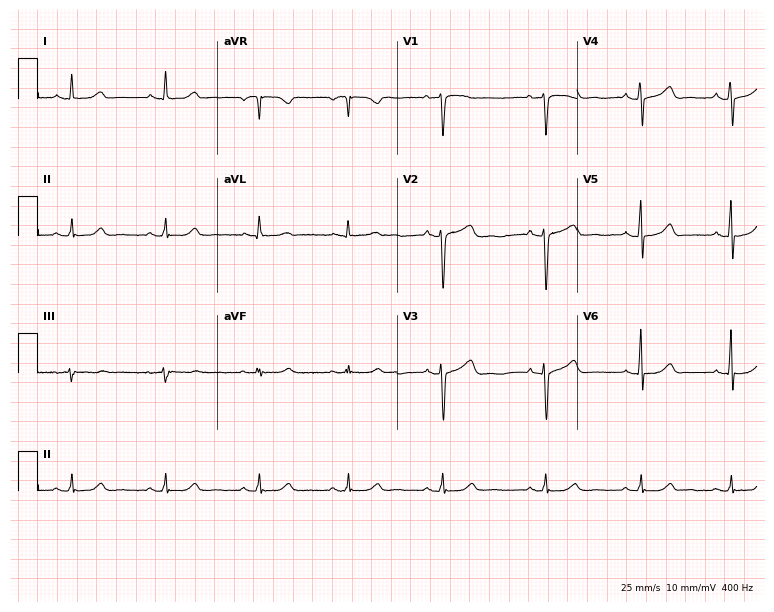
12-lead ECG from a 33-year-old female patient. Labelled as a normal ECG.